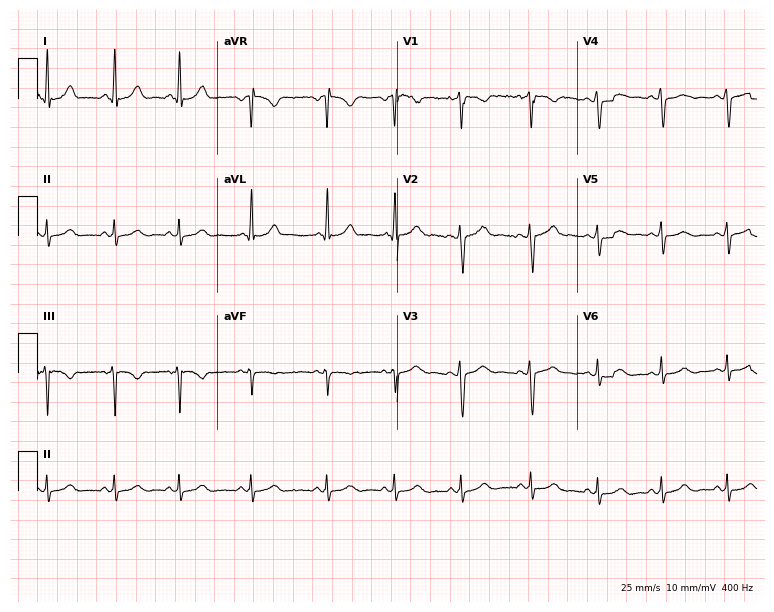
Resting 12-lead electrocardiogram. Patient: a female, 23 years old. None of these six findings is recorded: first-degree AV block, right bundle branch block (RBBB), left bundle branch block (LBBB), sinus bradycardia, atrial fibrillation (AF), sinus tachycardia. Other findings, if any, are not listed.